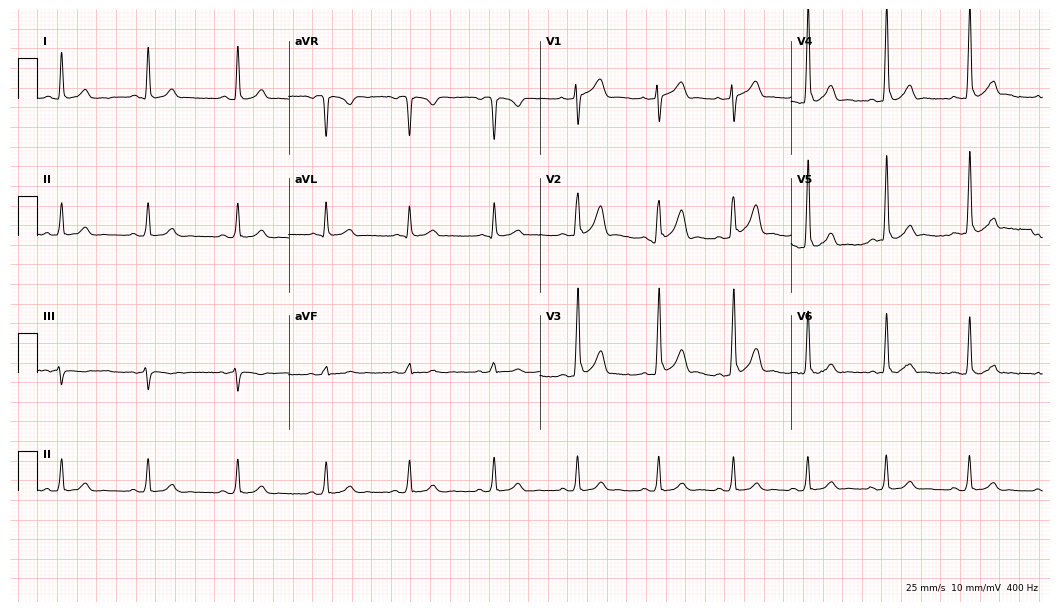
ECG (10.2-second recording at 400 Hz) — a male, 32 years old. Labelled as a normal ECG.